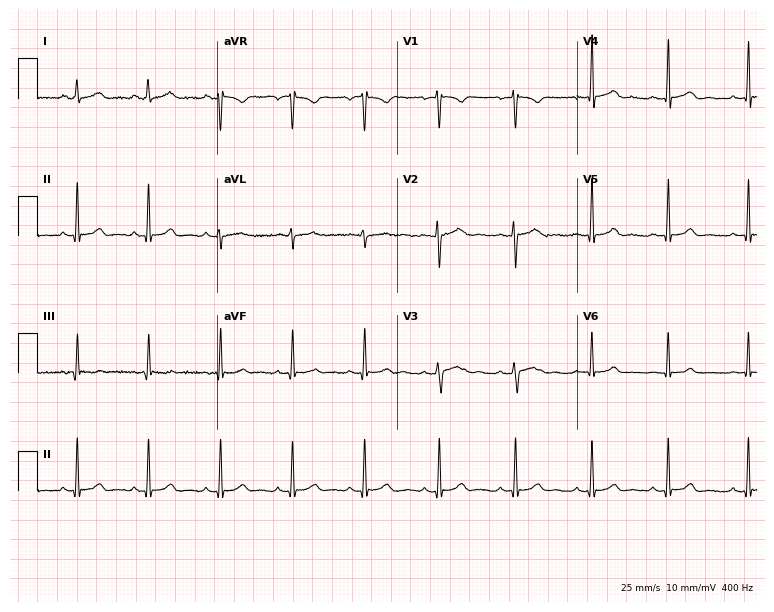
ECG — a woman, 23 years old. Labelled as a normal ECG.